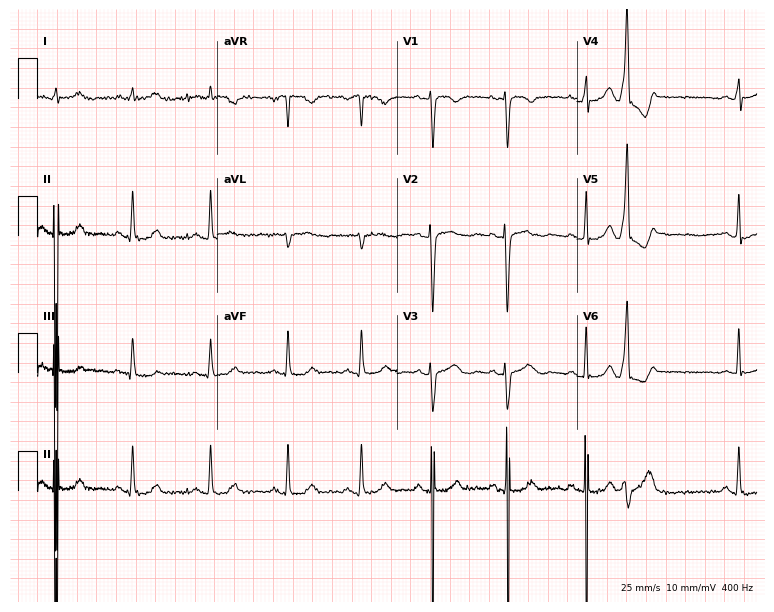
Resting 12-lead electrocardiogram (7.3-second recording at 400 Hz). Patient: a 41-year-old female. None of these six findings is recorded: first-degree AV block, right bundle branch block, left bundle branch block, sinus bradycardia, atrial fibrillation, sinus tachycardia. Other findings, if any, are not listed.